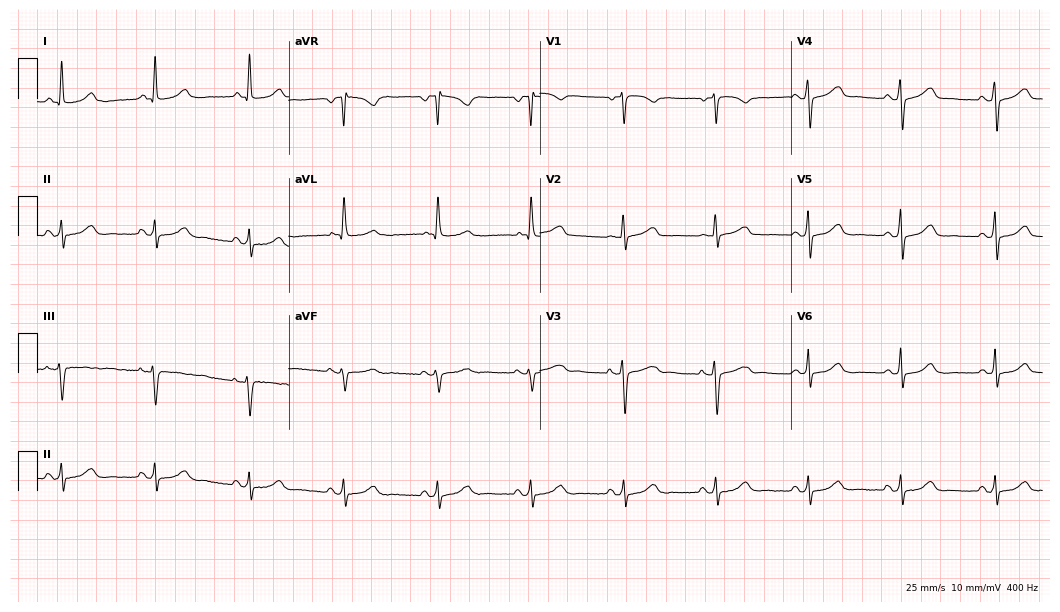
ECG (10.2-second recording at 400 Hz) — a 65-year-old woman. Labelled as a normal ECG.